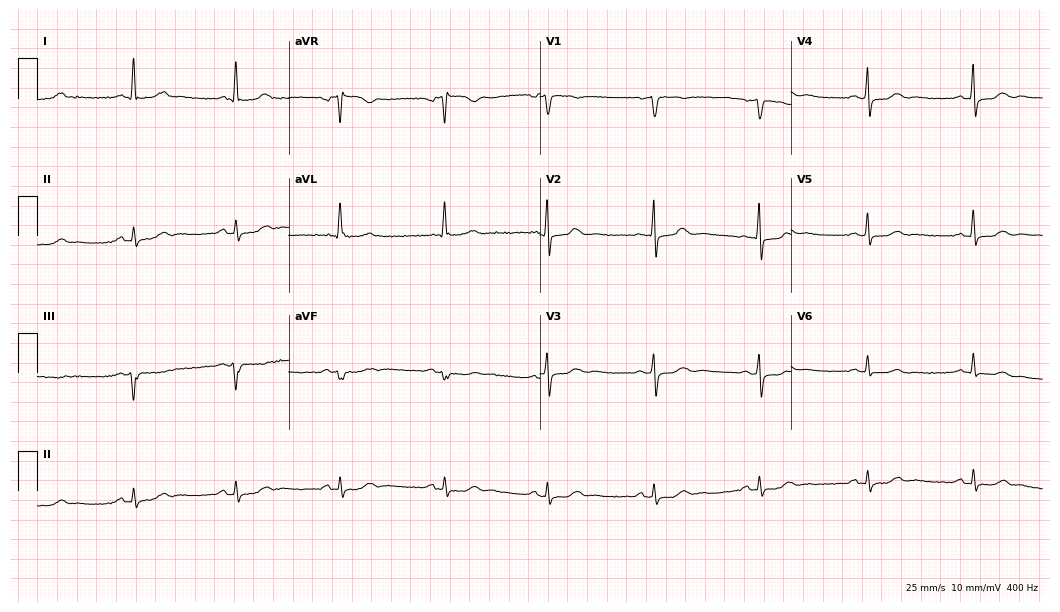
12-lead ECG from a woman, 52 years old (10.2-second recording at 400 Hz). Recorded interpretation: within normal limits.